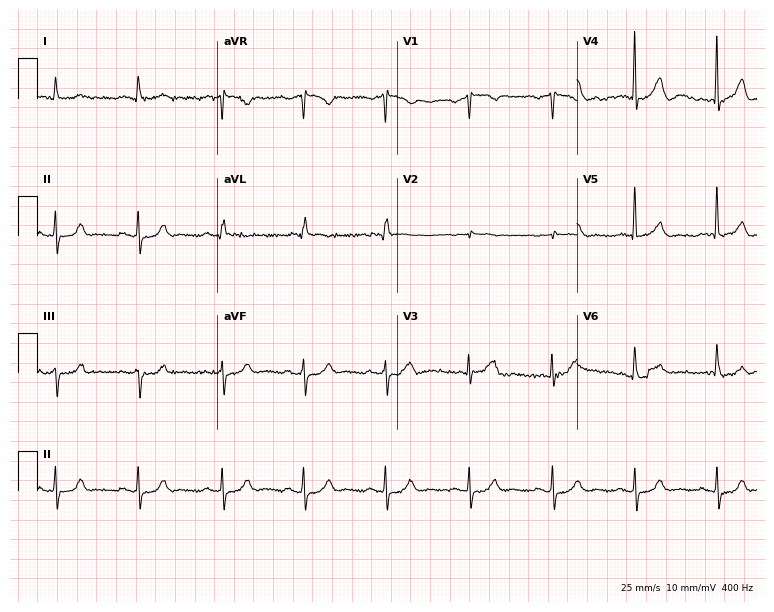
Electrocardiogram (7.3-second recording at 400 Hz), a 64-year-old man. Of the six screened findings (first-degree AV block, right bundle branch block, left bundle branch block, sinus bradycardia, atrial fibrillation, sinus tachycardia), none is recorded. Findings outside these six are not listed.